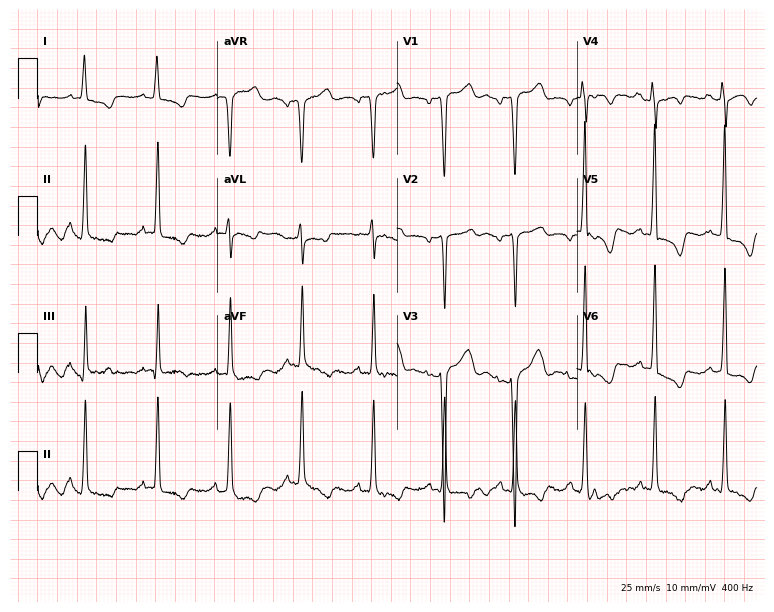
ECG — a 75-year-old woman. Screened for six findings — first-degree AV block, right bundle branch block (RBBB), left bundle branch block (LBBB), sinus bradycardia, atrial fibrillation (AF), sinus tachycardia — none is recorded. Other findings, if any, are not listed.